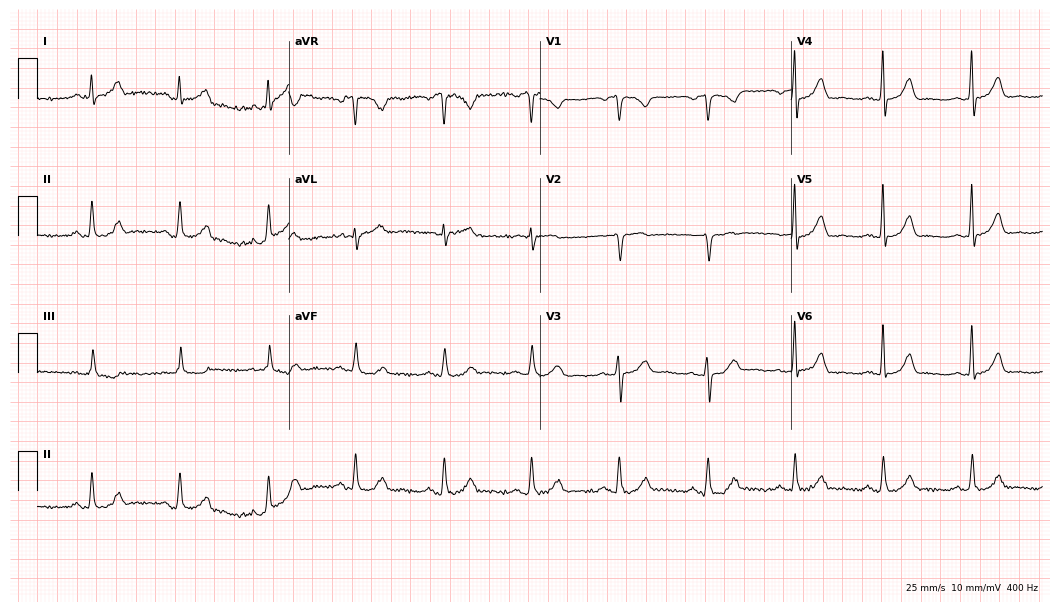
12-lead ECG (10.2-second recording at 400 Hz) from a 62-year-old man. Labelled as a normal ECG.